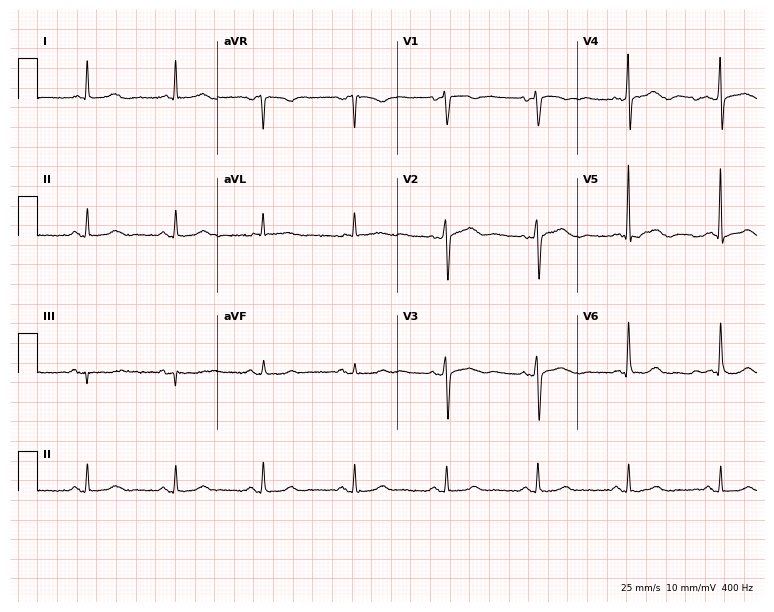
Standard 12-lead ECG recorded from a 74-year-old female patient (7.3-second recording at 400 Hz). None of these six findings is recorded: first-degree AV block, right bundle branch block (RBBB), left bundle branch block (LBBB), sinus bradycardia, atrial fibrillation (AF), sinus tachycardia. Other findings, if any, are not listed.